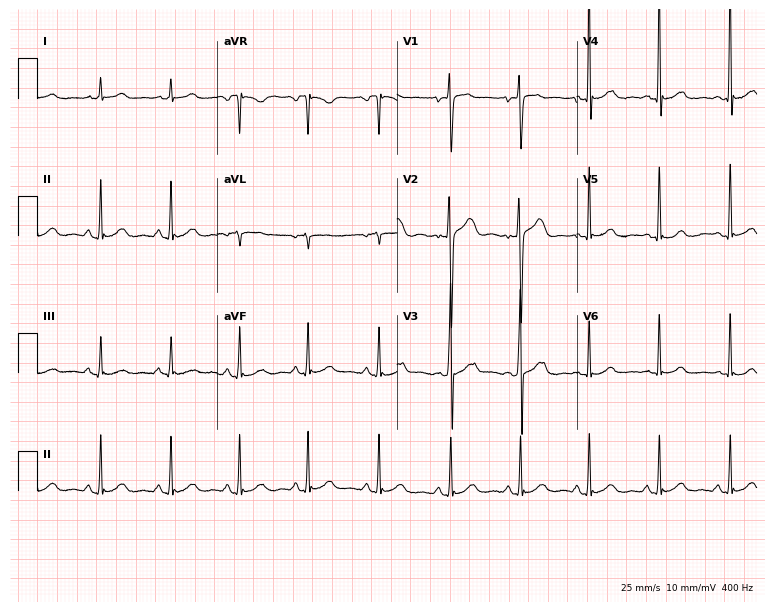
ECG — a man, 21 years old. Labelled as a normal ECG.